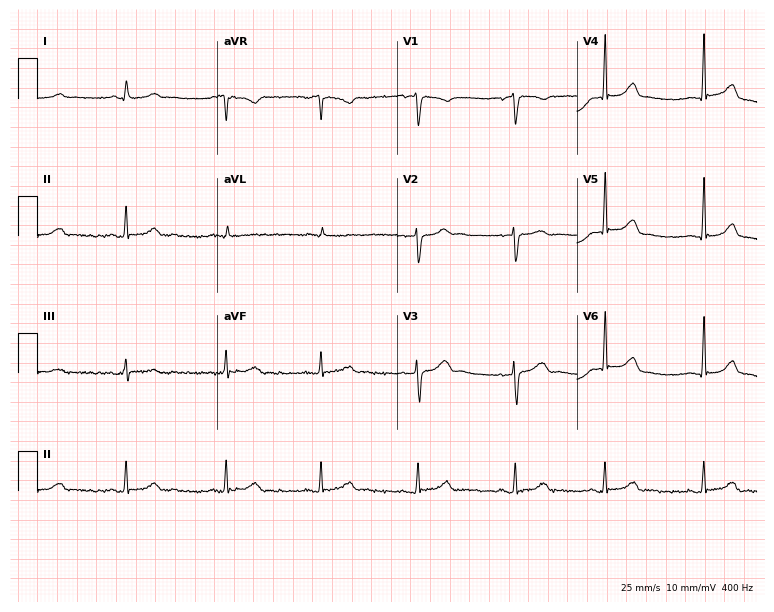
ECG (7.3-second recording at 400 Hz) — a 41-year-old male. Labelled as a normal ECG.